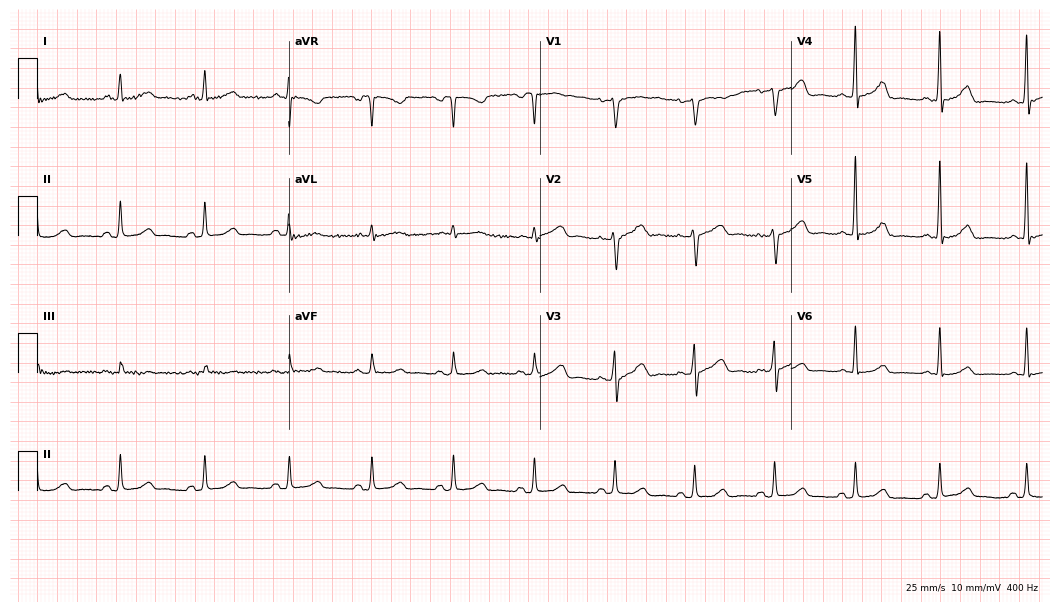
Standard 12-lead ECG recorded from a female patient, 69 years old. Read as a normal ECG.